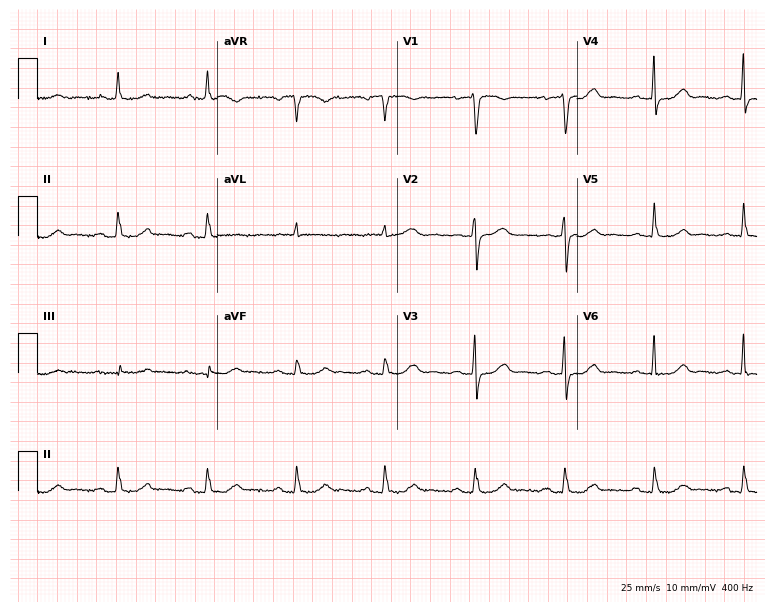
Standard 12-lead ECG recorded from an 82-year-old woman (7.3-second recording at 400 Hz). Read as a normal ECG.